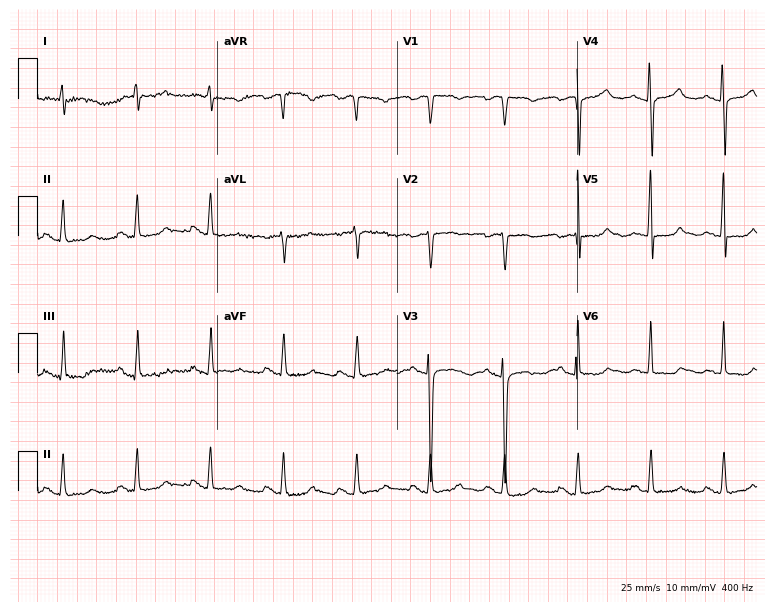
12-lead ECG from a female, 46 years old (7.3-second recording at 400 Hz). No first-degree AV block, right bundle branch block (RBBB), left bundle branch block (LBBB), sinus bradycardia, atrial fibrillation (AF) or sinus tachycardia recorded for this tracing. Findings outside these six are not listed.